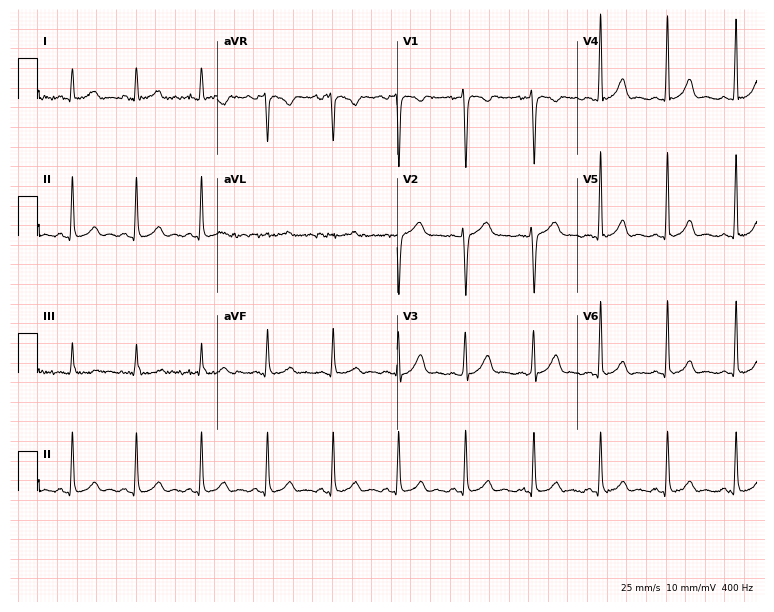
12-lead ECG from a 24-year-old female. Recorded interpretation: within normal limits.